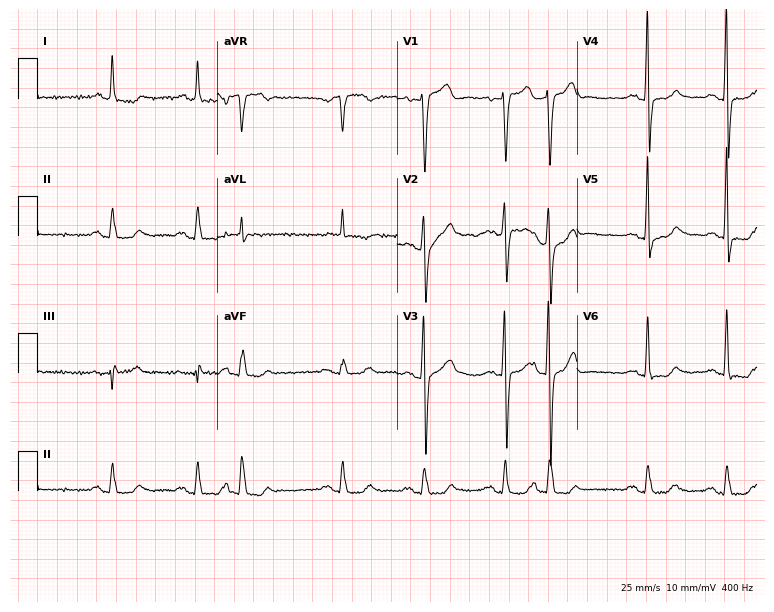
ECG — a male, 76 years old. Screened for six findings — first-degree AV block, right bundle branch block, left bundle branch block, sinus bradycardia, atrial fibrillation, sinus tachycardia — none is recorded.